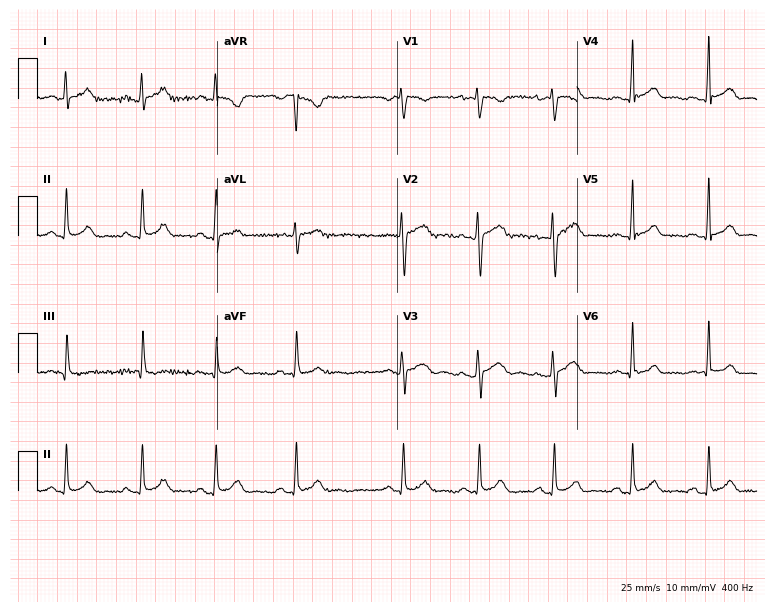
Resting 12-lead electrocardiogram. Patient: a female, 22 years old. Read as a normal ECG.